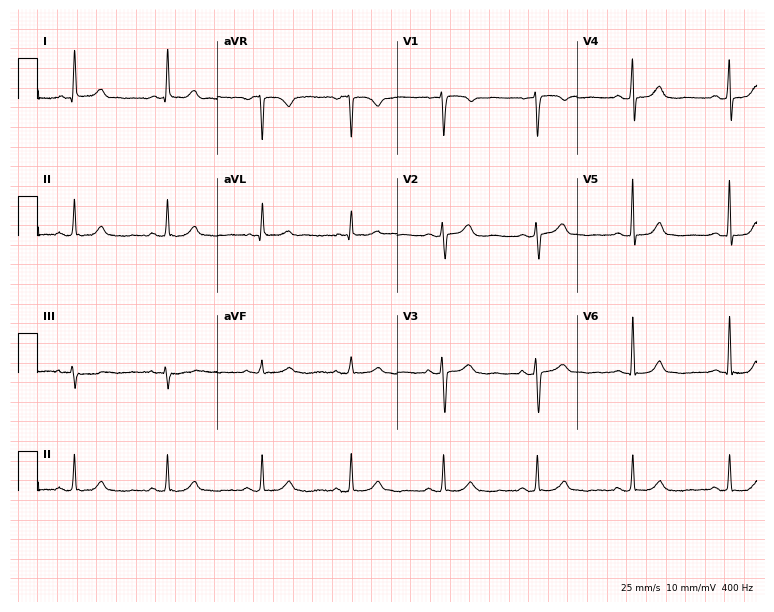
Resting 12-lead electrocardiogram (7.3-second recording at 400 Hz). Patient: a female, 67 years old. Read as a normal ECG.